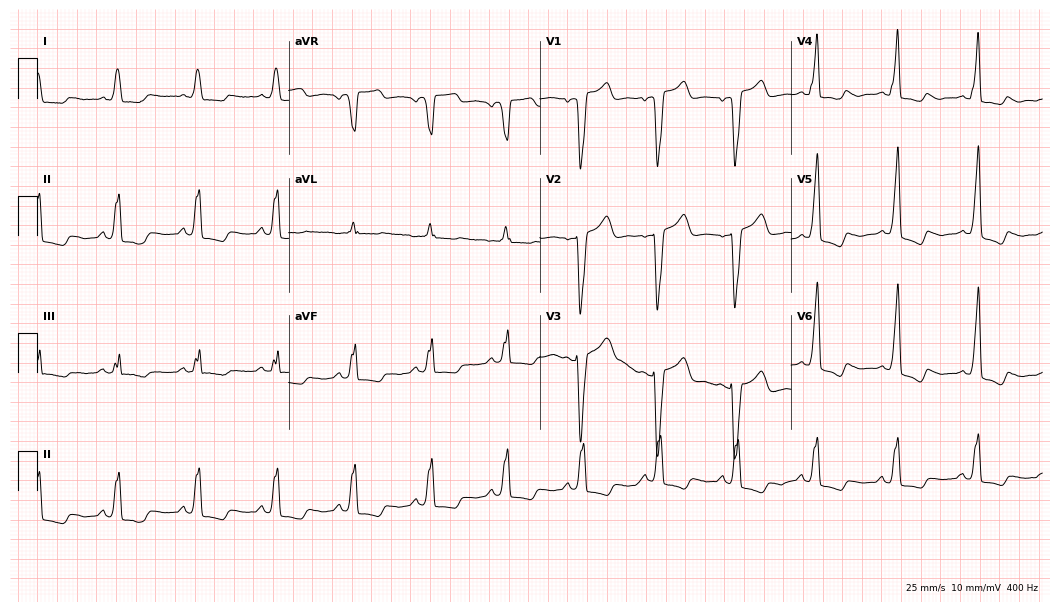
12-lead ECG from a male patient, 75 years old. Findings include left bundle branch block.